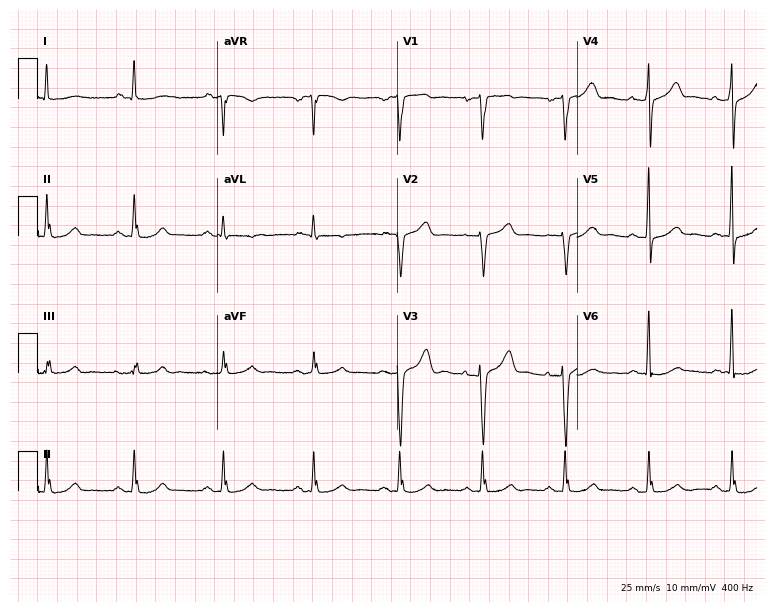
12-lead ECG from a 62-year-old woman. No first-degree AV block, right bundle branch block (RBBB), left bundle branch block (LBBB), sinus bradycardia, atrial fibrillation (AF) or sinus tachycardia recorded for this tracing. Only these six findings were labelled.